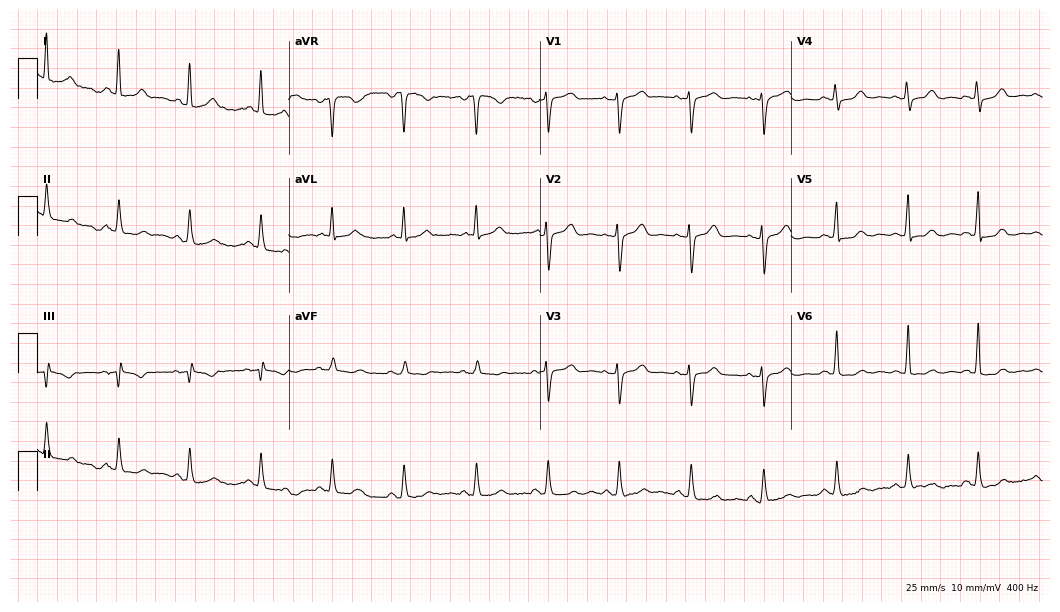
12-lead ECG from a female, 49 years old. Recorded interpretation: within normal limits.